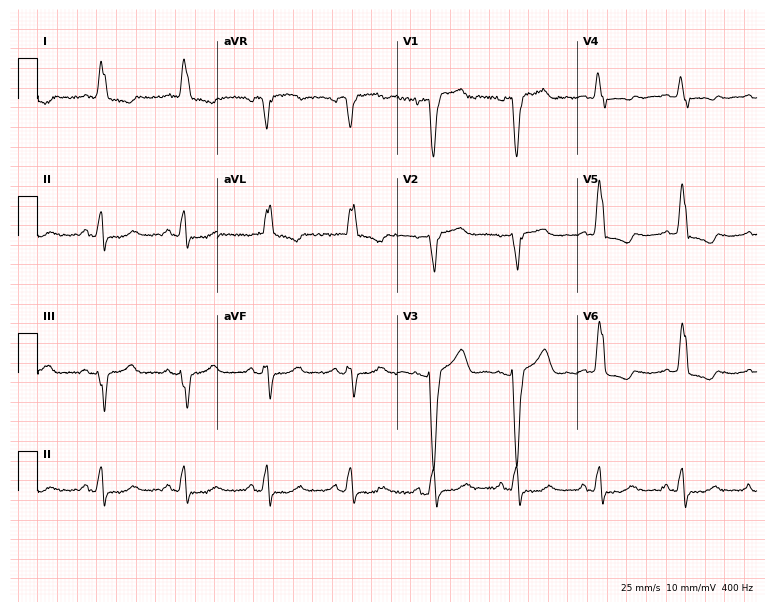
12-lead ECG from an 82-year-old female. Shows left bundle branch block.